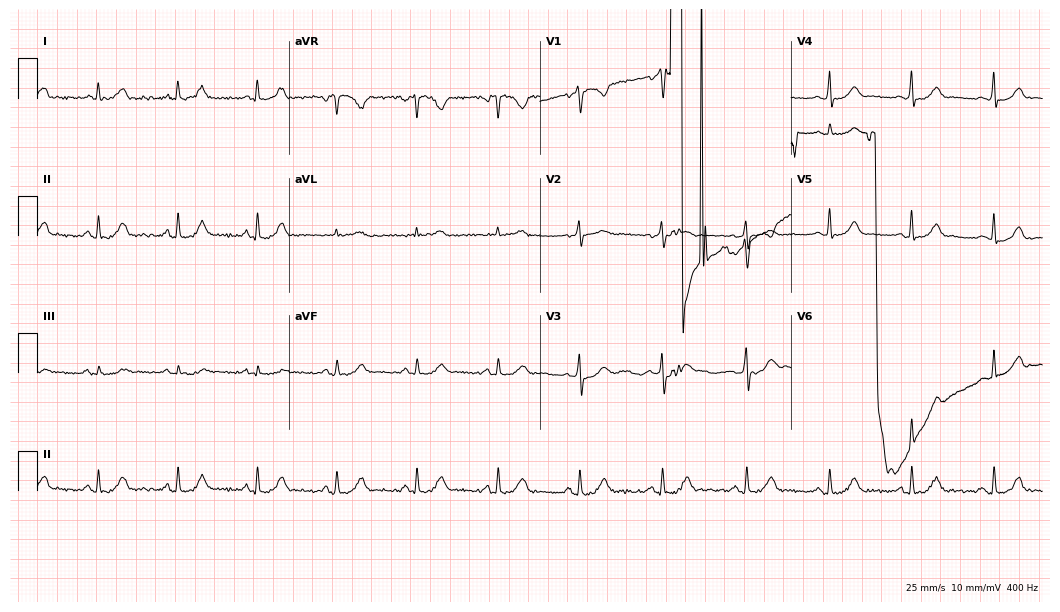
12-lead ECG (10.2-second recording at 400 Hz) from a female patient, 36 years old. Screened for six findings — first-degree AV block, right bundle branch block (RBBB), left bundle branch block (LBBB), sinus bradycardia, atrial fibrillation (AF), sinus tachycardia — none is recorded.